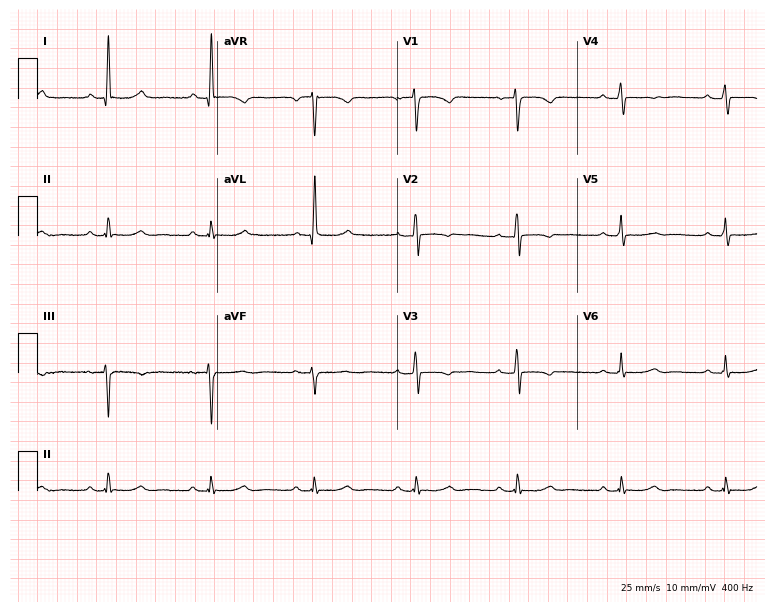
Electrocardiogram, a woman, 69 years old. Of the six screened findings (first-degree AV block, right bundle branch block, left bundle branch block, sinus bradycardia, atrial fibrillation, sinus tachycardia), none is recorded.